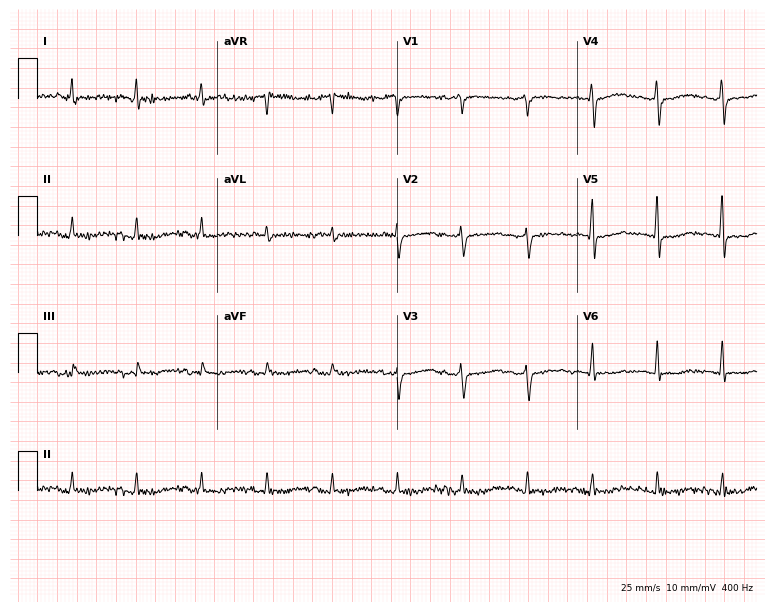
Resting 12-lead electrocardiogram (7.3-second recording at 400 Hz). Patient: a 76-year-old male. None of these six findings is recorded: first-degree AV block, right bundle branch block (RBBB), left bundle branch block (LBBB), sinus bradycardia, atrial fibrillation (AF), sinus tachycardia.